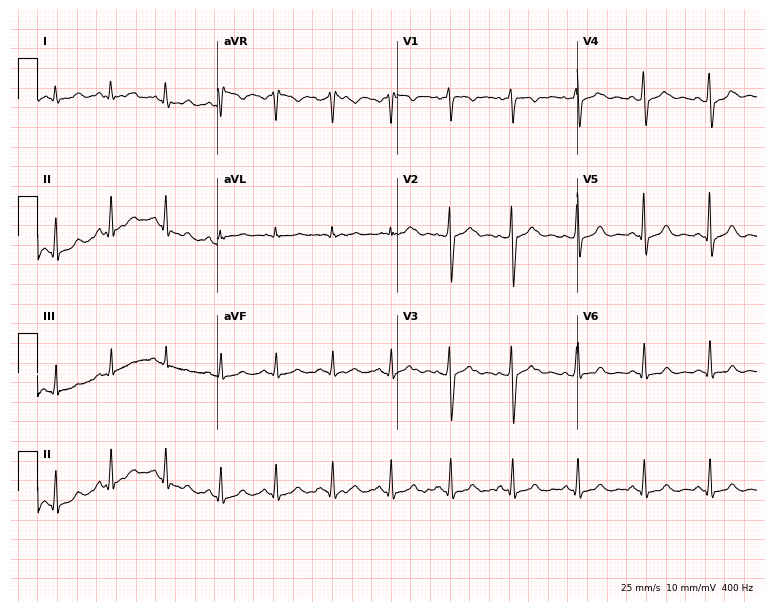
Standard 12-lead ECG recorded from a 47-year-old female patient. Read as a normal ECG.